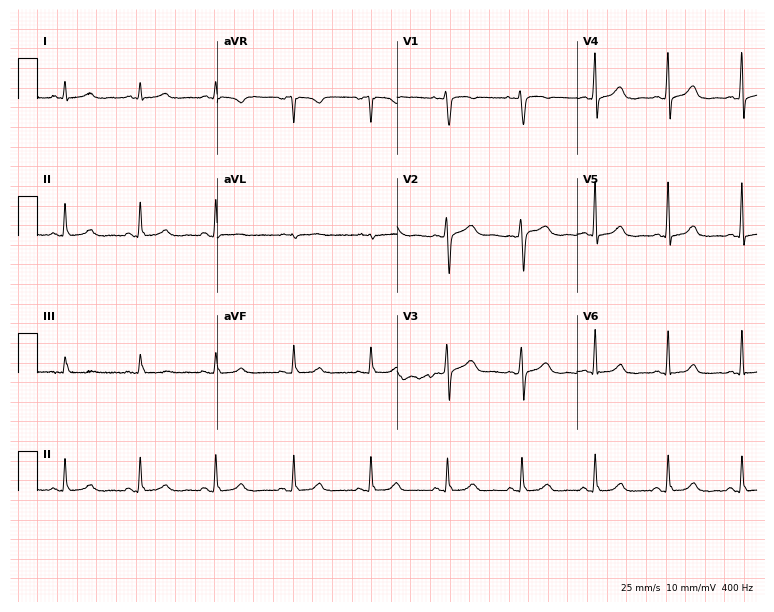
ECG — a 46-year-old woman. Screened for six findings — first-degree AV block, right bundle branch block, left bundle branch block, sinus bradycardia, atrial fibrillation, sinus tachycardia — none is recorded. Findings outside these six are not listed.